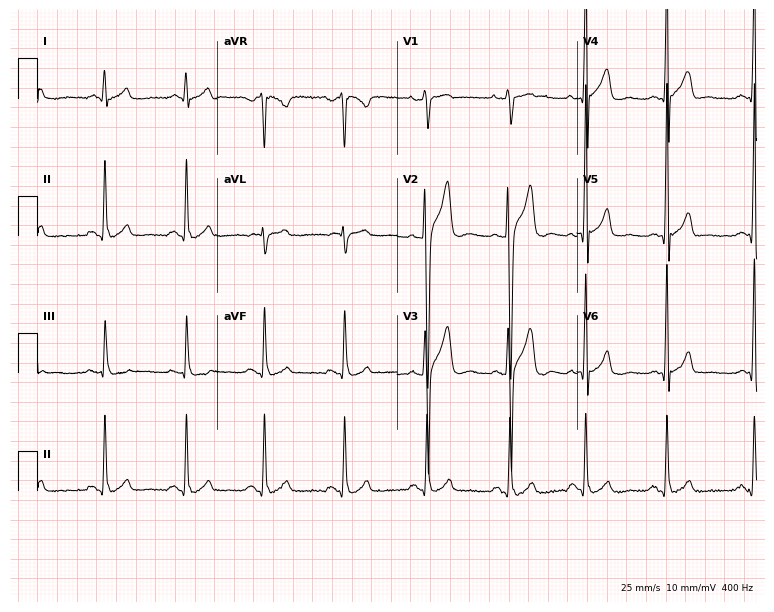
Electrocardiogram, a 22-year-old male. Of the six screened findings (first-degree AV block, right bundle branch block, left bundle branch block, sinus bradycardia, atrial fibrillation, sinus tachycardia), none is recorded.